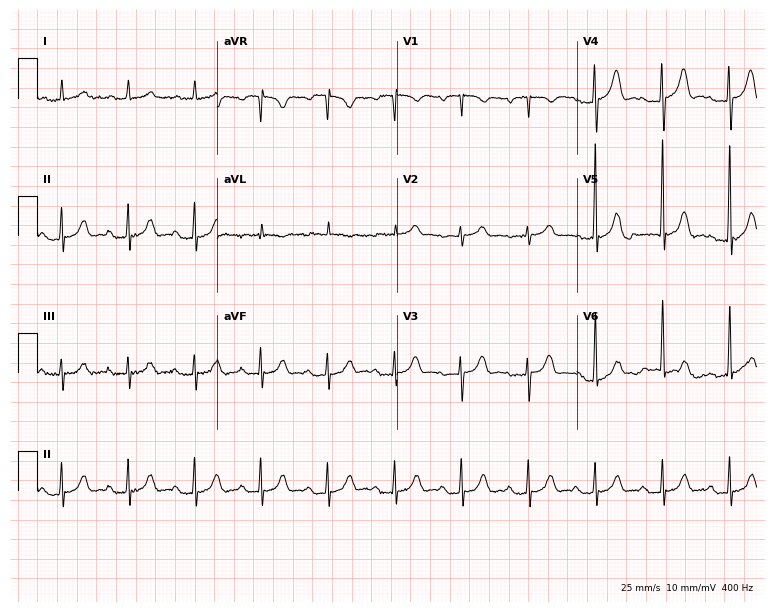
Electrocardiogram, a man, 79 years old. Interpretation includes first-degree AV block.